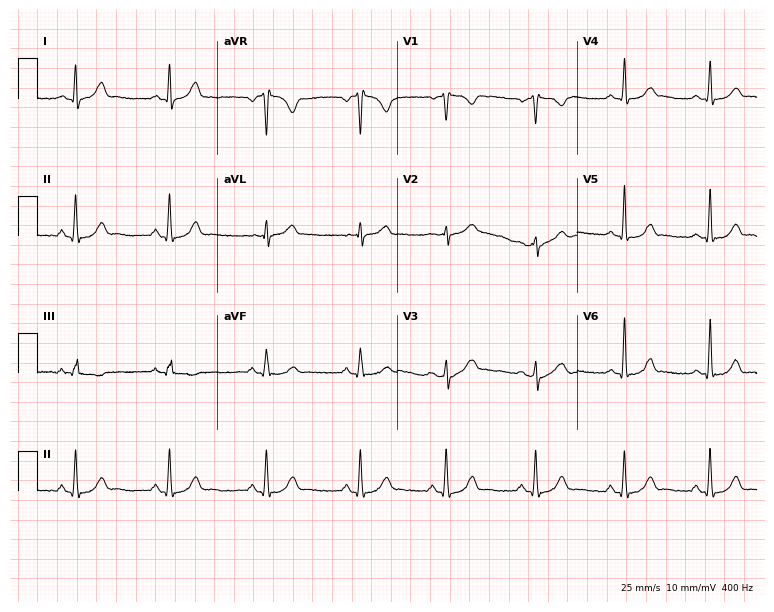
12-lead ECG (7.3-second recording at 400 Hz) from a 33-year-old woman. Labelled as a normal ECG.